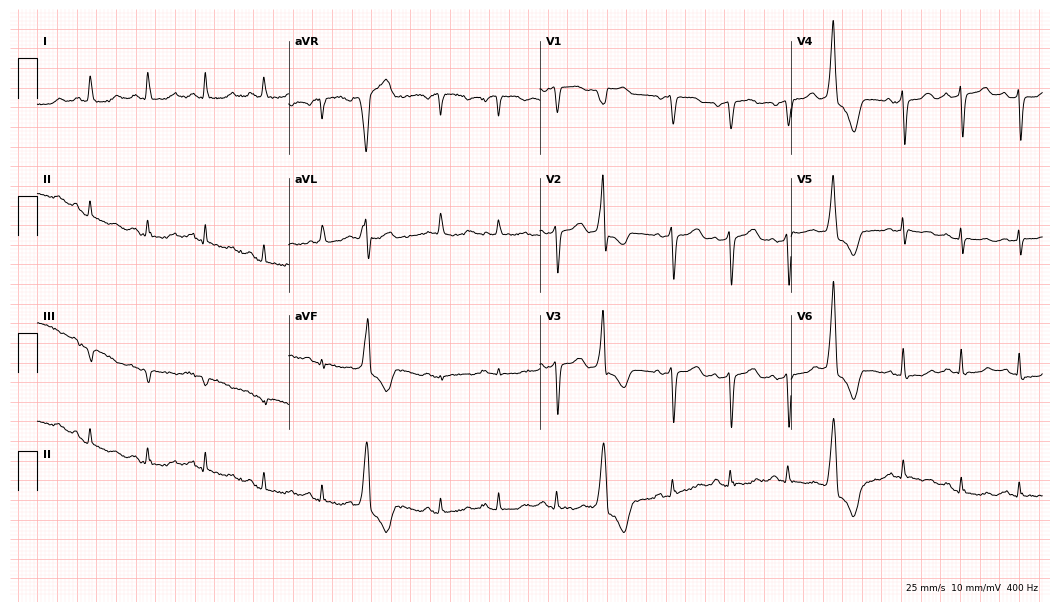
ECG — a female, 77 years old. Labelled as a normal ECG.